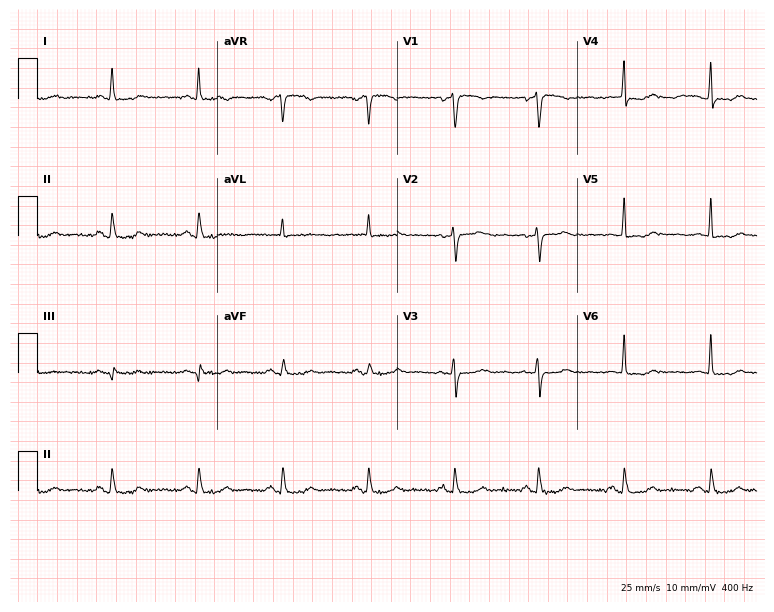
Resting 12-lead electrocardiogram (7.3-second recording at 400 Hz). Patient: a 60-year-old female. None of these six findings is recorded: first-degree AV block, right bundle branch block, left bundle branch block, sinus bradycardia, atrial fibrillation, sinus tachycardia.